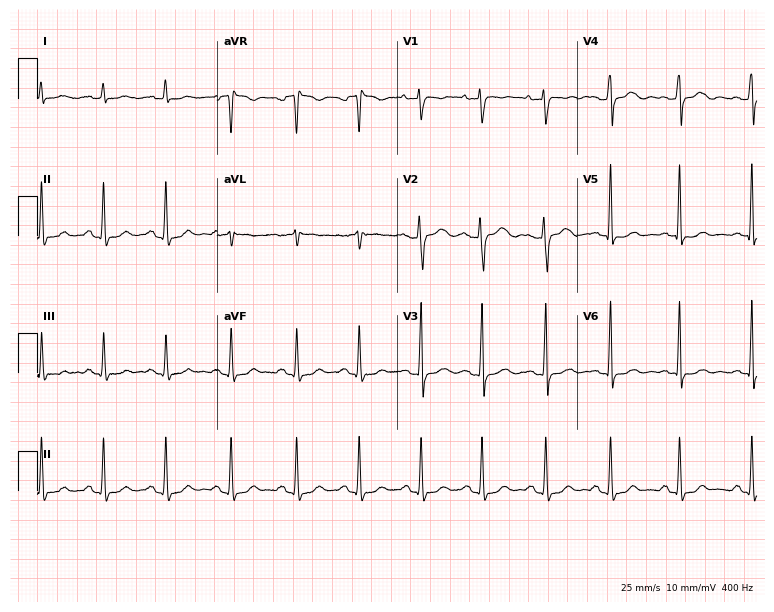
Standard 12-lead ECG recorded from a 44-year-old female patient (7.3-second recording at 400 Hz). None of these six findings is recorded: first-degree AV block, right bundle branch block (RBBB), left bundle branch block (LBBB), sinus bradycardia, atrial fibrillation (AF), sinus tachycardia. Findings outside these six are not listed.